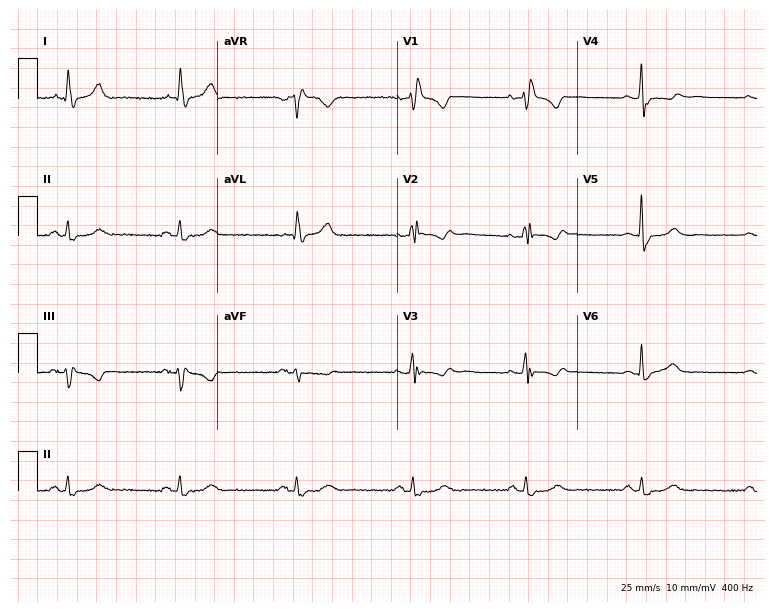
12-lead ECG from a female, 61 years old (7.3-second recording at 400 Hz). Shows right bundle branch block.